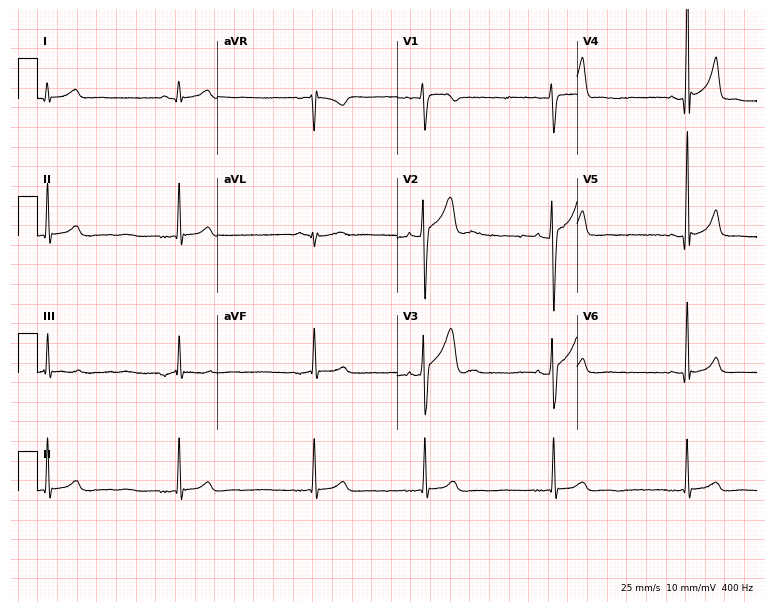
Resting 12-lead electrocardiogram (7.3-second recording at 400 Hz). Patient: a 23-year-old man. The tracing shows sinus bradycardia (a sinus rate of 50 beats per minute or less).